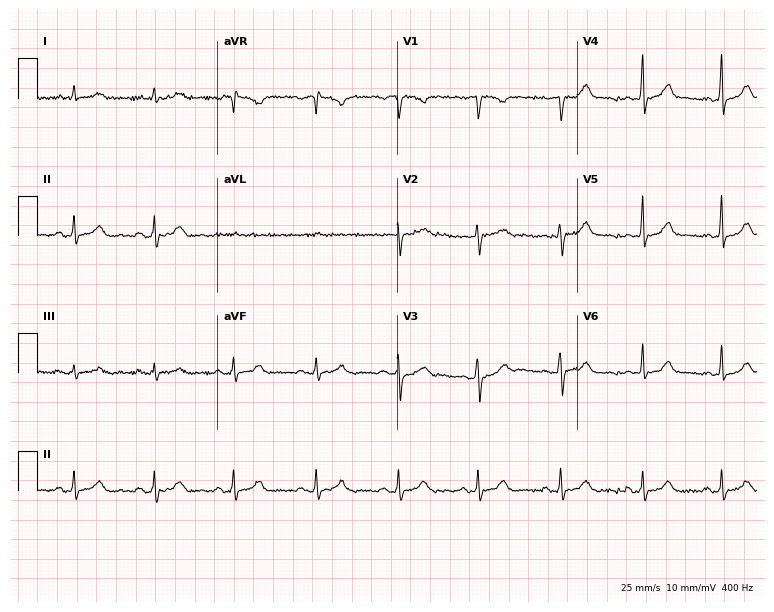
ECG — a 27-year-old woman. Labelled as a normal ECG.